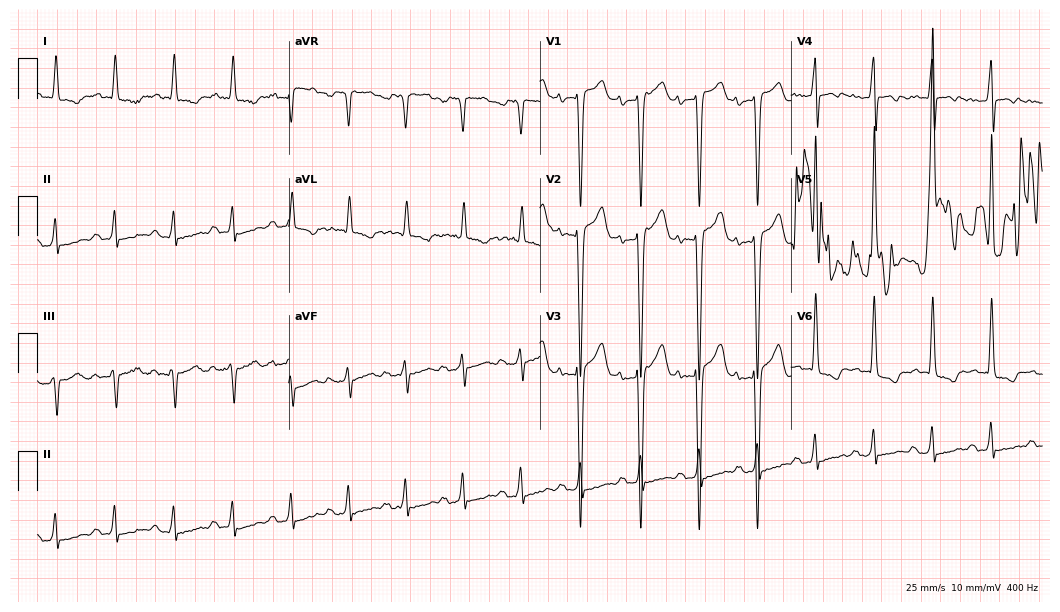
Electrocardiogram (10.2-second recording at 400 Hz), a male, 67 years old. Of the six screened findings (first-degree AV block, right bundle branch block, left bundle branch block, sinus bradycardia, atrial fibrillation, sinus tachycardia), none is recorded. Other findings, if any, are not listed.